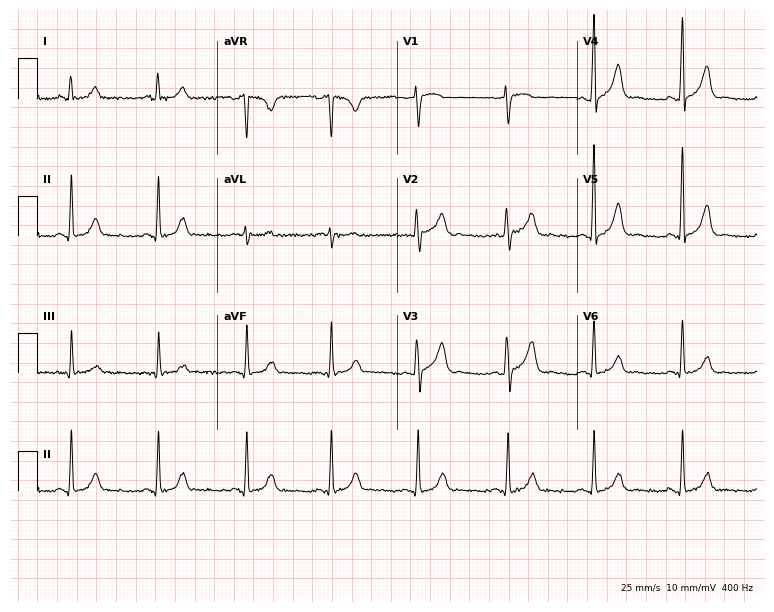
Electrocardiogram (7.3-second recording at 400 Hz), a 55-year-old woman. Overall reading on record: normal ECG.